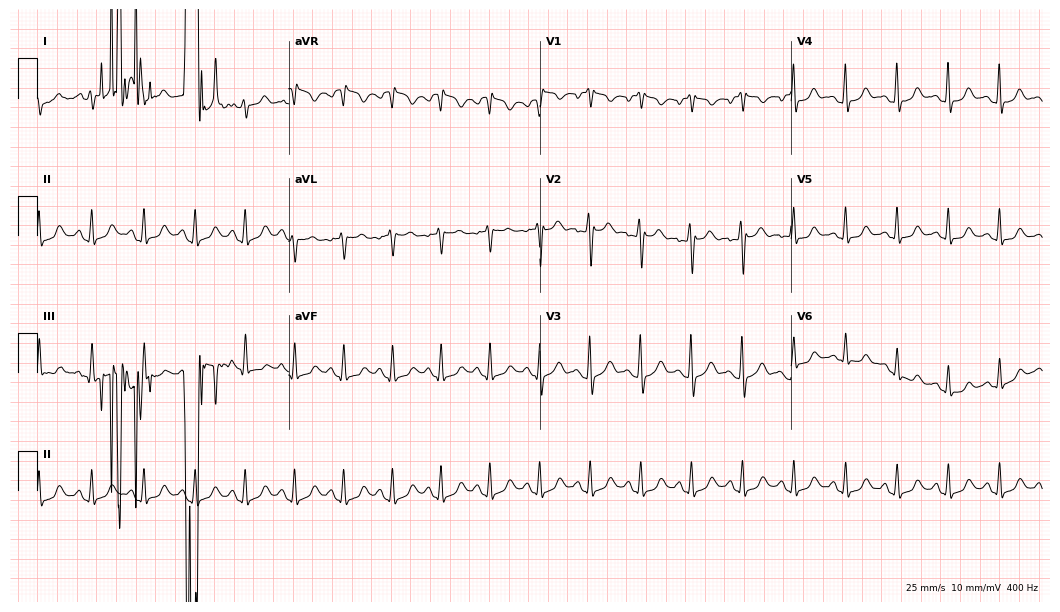
12-lead ECG from a 29-year-old female (10.2-second recording at 400 Hz). Shows sinus tachycardia (a sinus rate of 100 beats per minute or more).